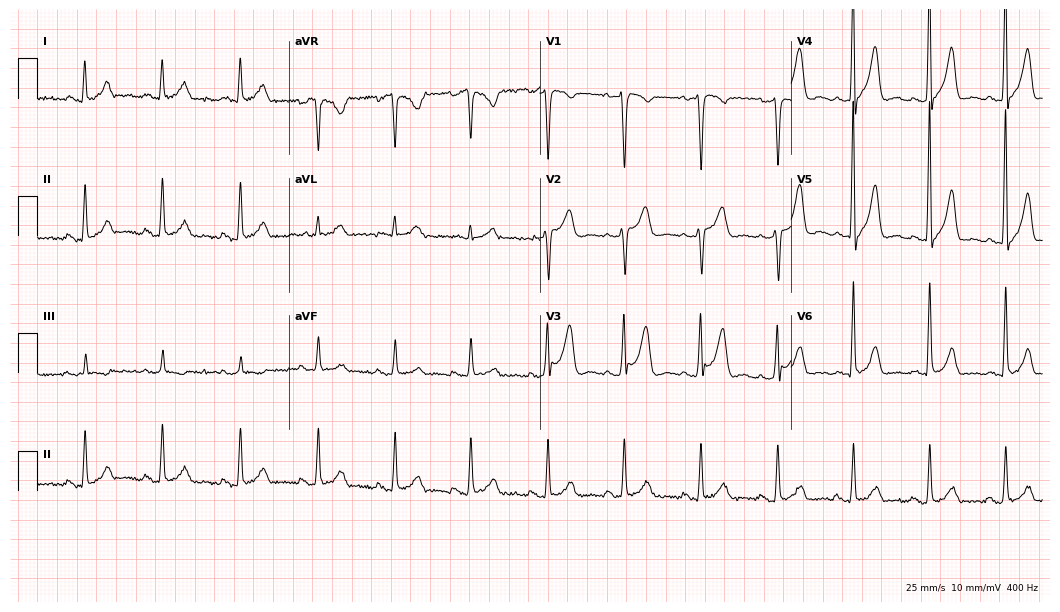
Electrocardiogram (10.2-second recording at 400 Hz), a male, 59 years old. Overall reading on record: normal ECG.